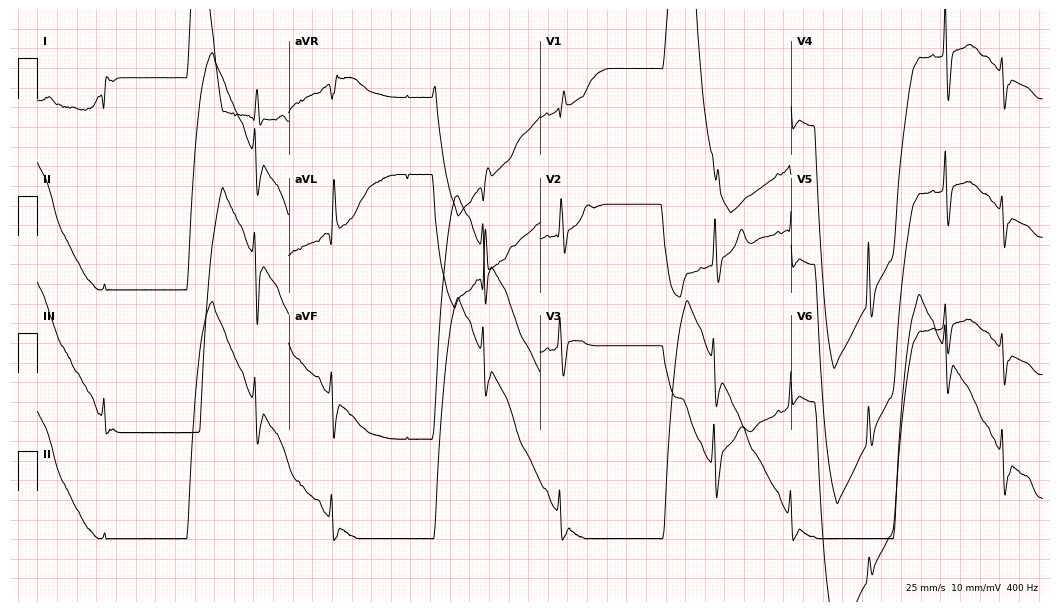
12-lead ECG from a woman, 82 years old (10.2-second recording at 400 Hz). No first-degree AV block, right bundle branch block, left bundle branch block, sinus bradycardia, atrial fibrillation or sinus tachycardia recorded for this tracing. Only these six findings were labelled.